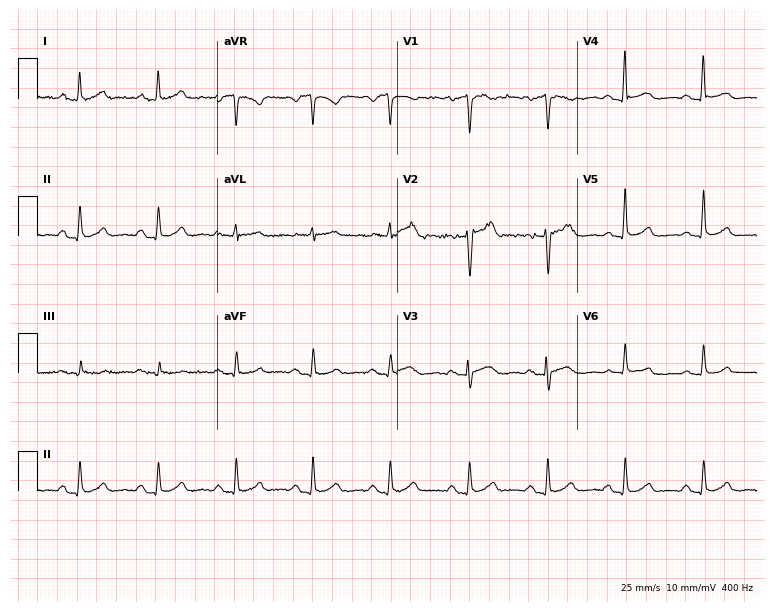
12-lead ECG (7.3-second recording at 400 Hz) from a male, 51 years old. Screened for six findings — first-degree AV block, right bundle branch block, left bundle branch block, sinus bradycardia, atrial fibrillation, sinus tachycardia — none is recorded. Only these six findings were labelled.